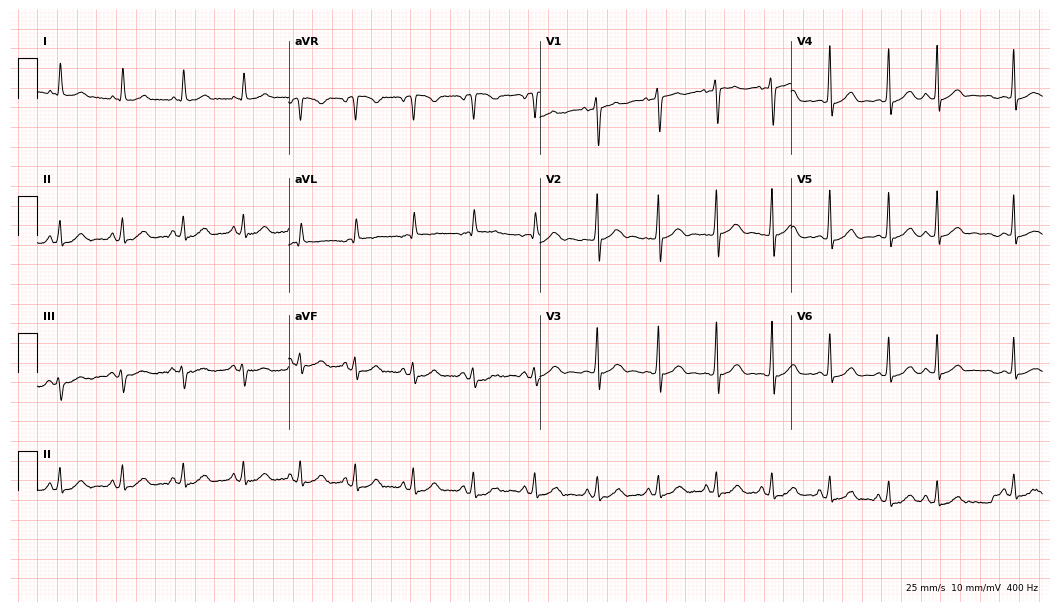
ECG — a male, 40 years old. Labelled as a normal ECG.